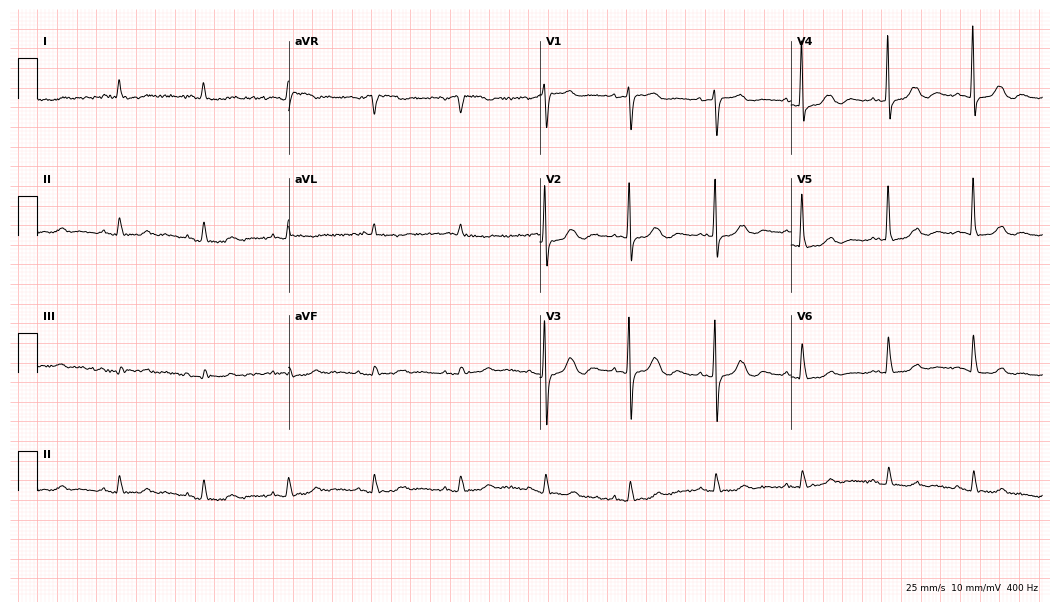
Electrocardiogram, an 85-year-old woman. Of the six screened findings (first-degree AV block, right bundle branch block (RBBB), left bundle branch block (LBBB), sinus bradycardia, atrial fibrillation (AF), sinus tachycardia), none is recorded. Other findings, if any, are not listed.